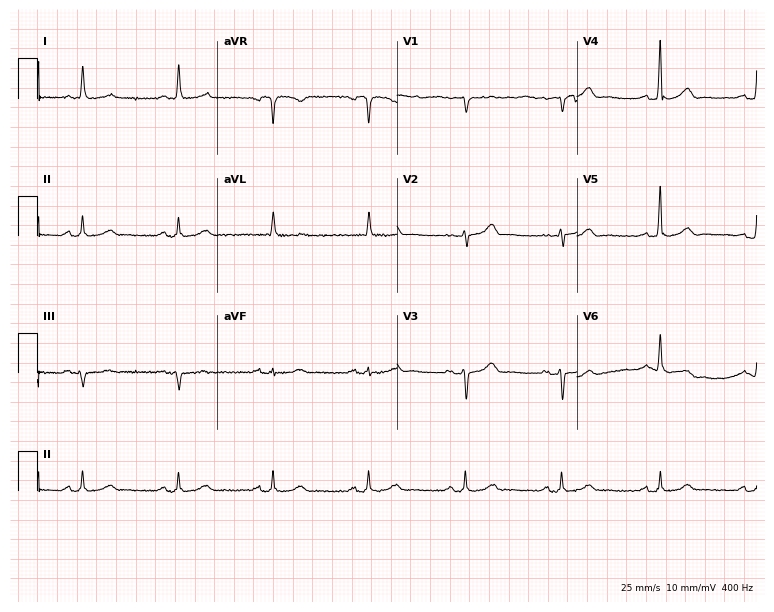
Electrocardiogram, a man, 84 years old. Of the six screened findings (first-degree AV block, right bundle branch block, left bundle branch block, sinus bradycardia, atrial fibrillation, sinus tachycardia), none is recorded.